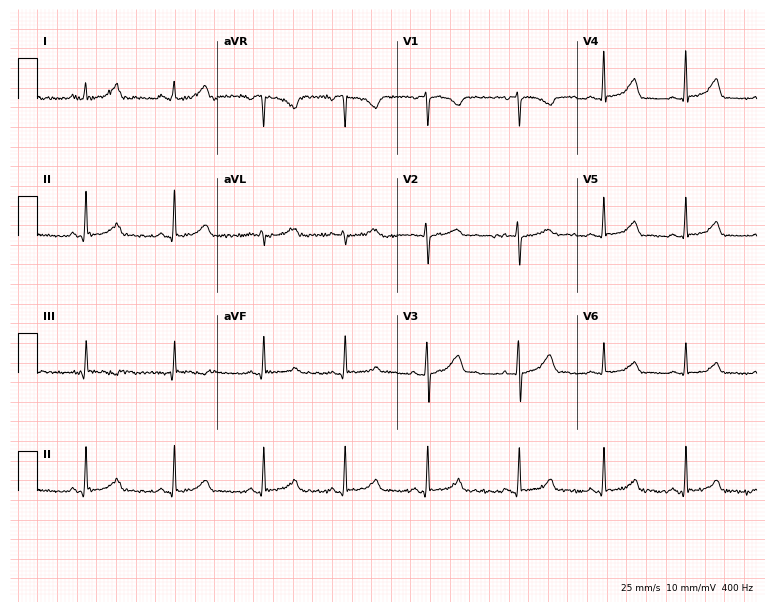
12-lead ECG from a woman, 24 years old. Labelled as a normal ECG.